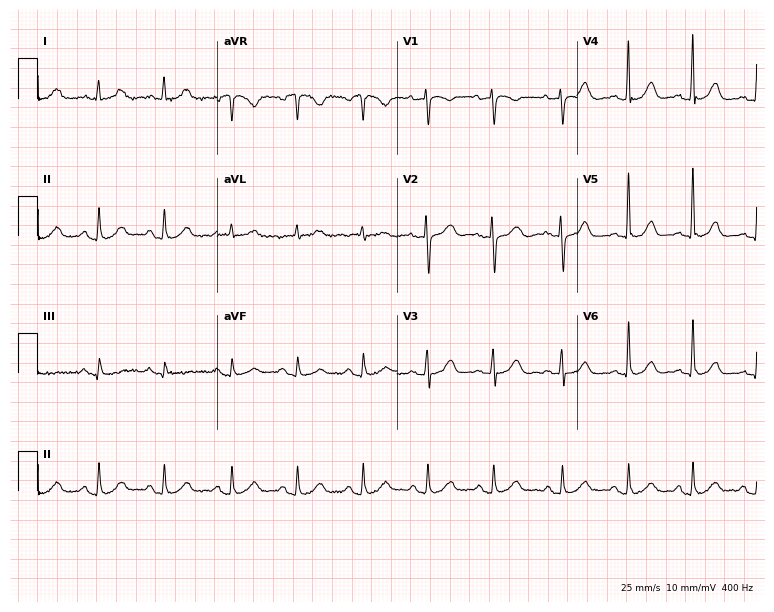
Electrocardiogram (7.3-second recording at 400 Hz), a woman, 55 years old. Of the six screened findings (first-degree AV block, right bundle branch block, left bundle branch block, sinus bradycardia, atrial fibrillation, sinus tachycardia), none is recorded.